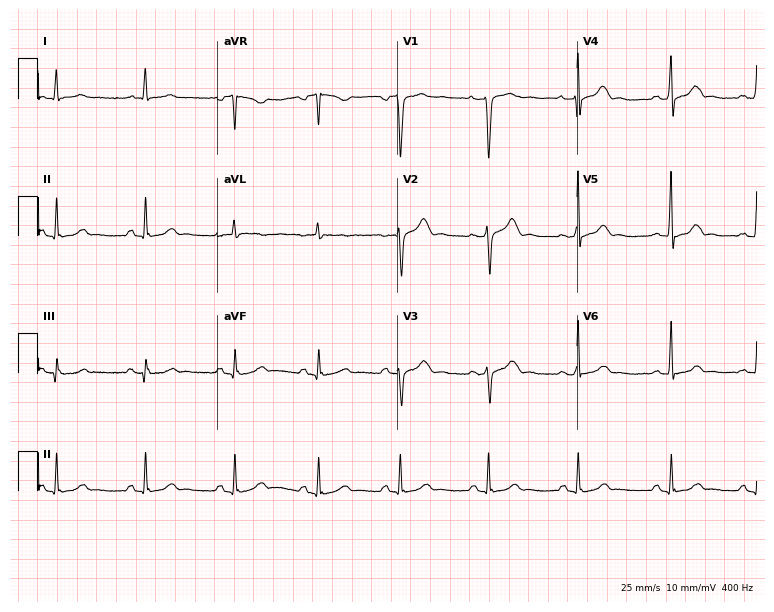
Resting 12-lead electrocardiogram. Patient: a woman, 39 years old. None of these six findings is recorded: first-degree AV block, right bundle branch block, left bundle branch block, sinus bradycardia, atrial fibrillation, sinus tachycardia. Findings outside these six are not listed.